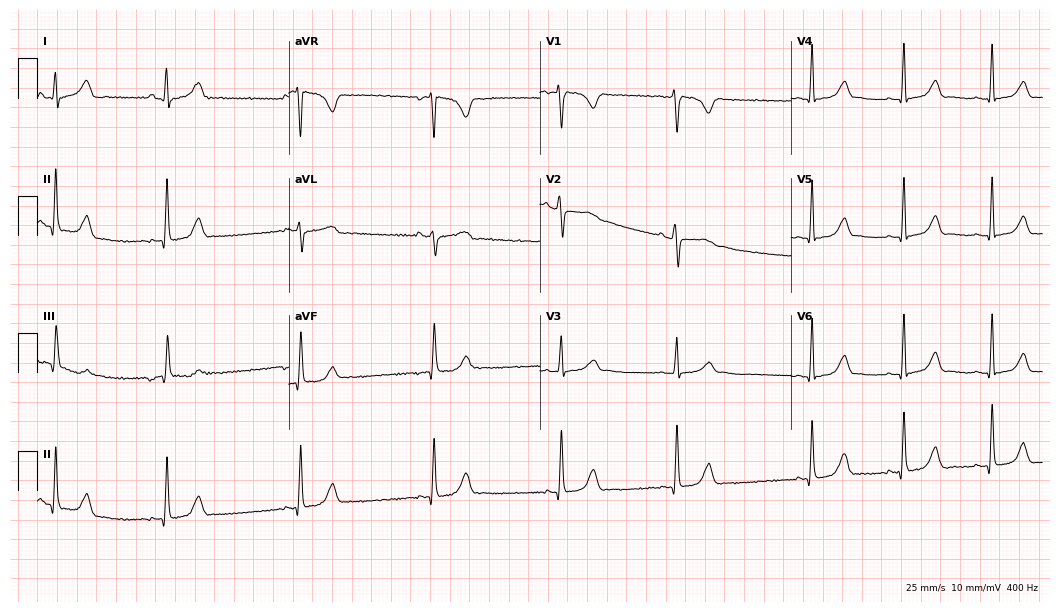
Standard 12-lead ECG recorded from a 19-year-old woman (10.2-second recording at 400 Hz). None of these six findings is recorded: first-degree AV block, right bundle branch block, left bundle branch block, sinus bradycardia, atrial fibrillation, sinus tachycardia. Only these six findings were labelled.